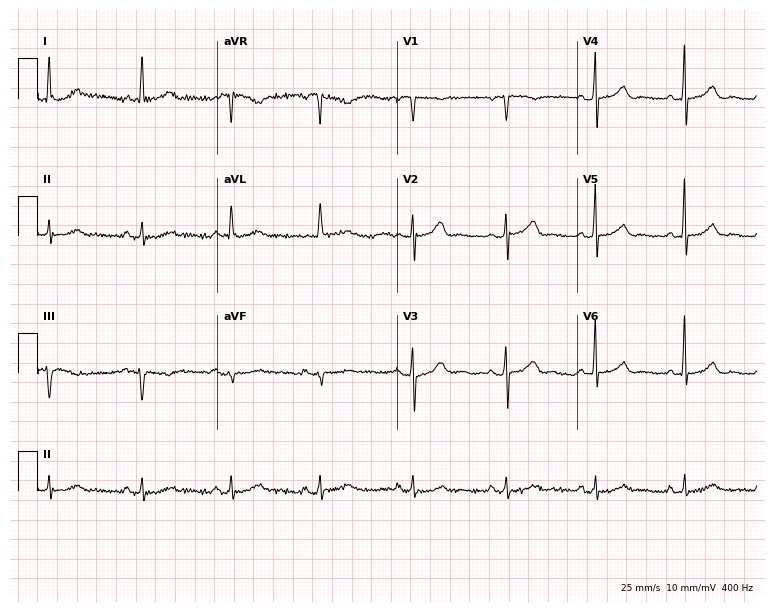
ECG — an 81-year-old man. Screened for six findings — first-degree AV block, right bundle branch block (RBBB), left bundle branch block (LBBB), sinus bradycardia, atrial fibrillation (AF), sinus tachycardia — none is recorded.